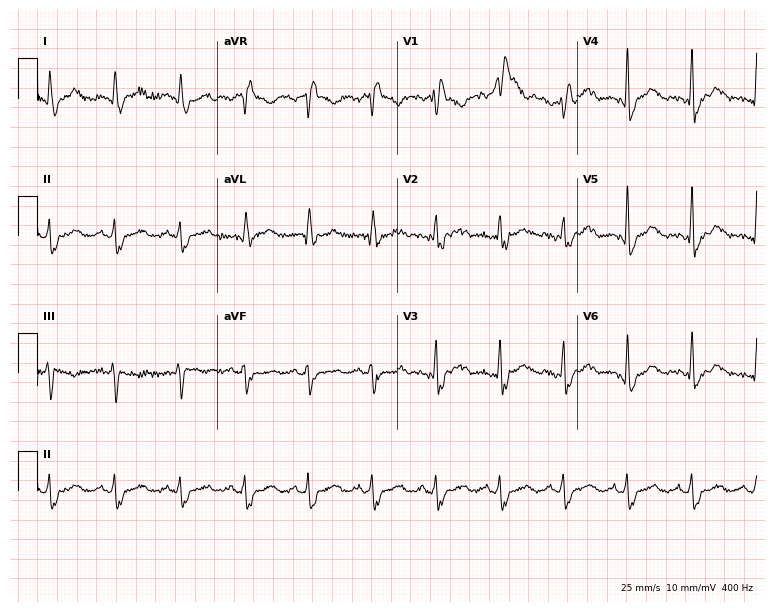
Resting 12-lead electrocardiogram (7.3-second recording at 400 Hz). Patient: a female, 47 years old. The tracing shows right bundle branch block (RBBB).